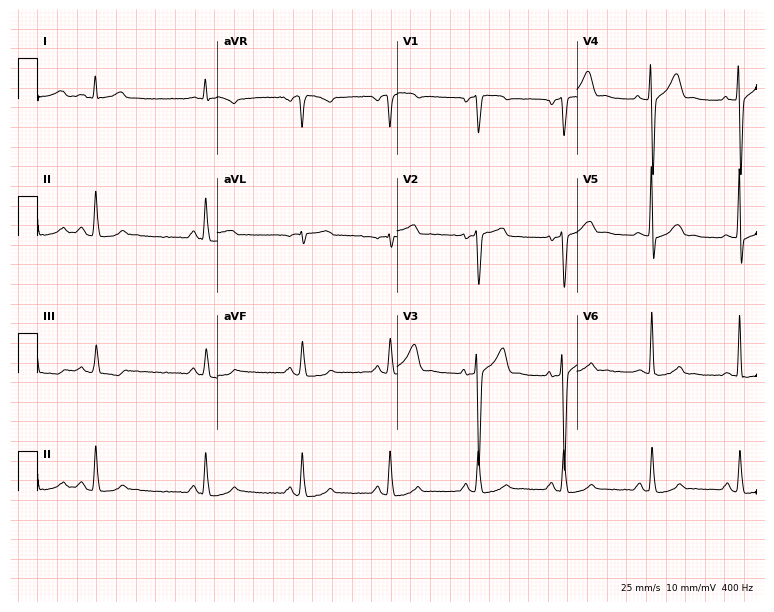
Standard 12-lead ECG recorded from a 59-year-old man (7.3-second recording at 400 Hz). None of these six findings is recorded: first-degree AV block, right bundle branch block, left bundle branch block, sinus bradycardia, atrial fibrillation, sinus tachycardia. Findings outside these six are not listed.